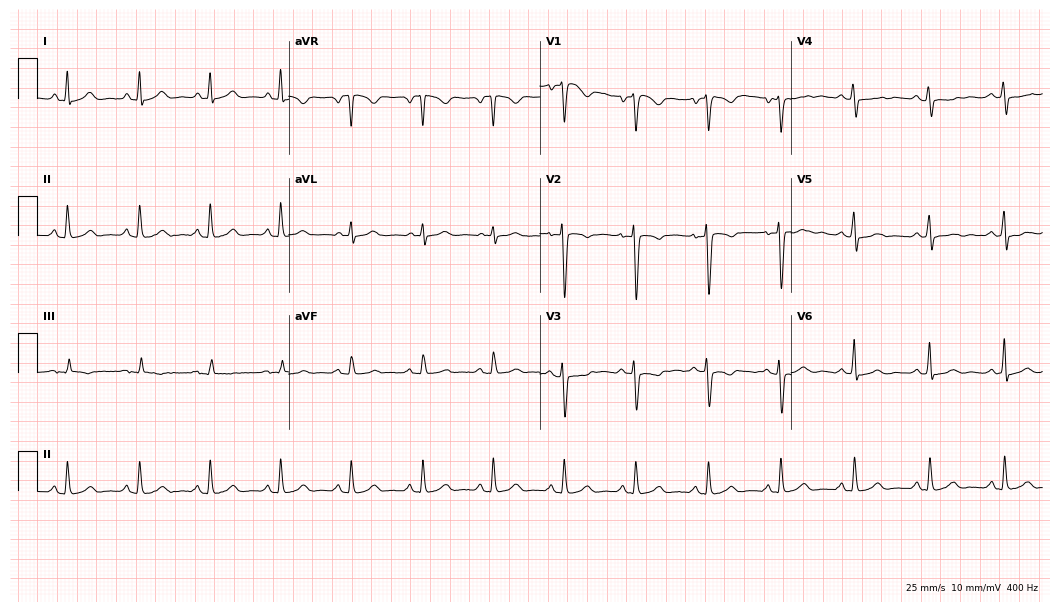
Standard 12-lead ECG recorded from a female patient, 33 years old (10.2-second recording at 400 Hz). Read as a normal ECG.